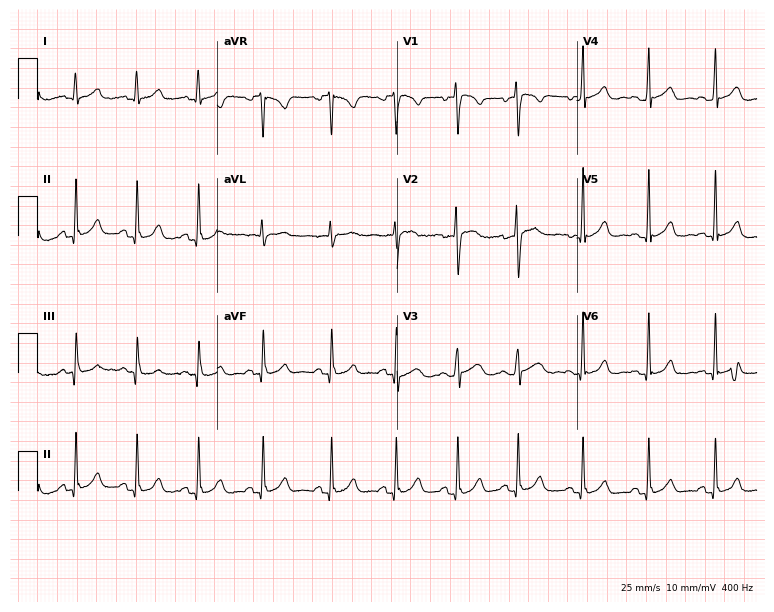
Standard 12-lead ECG recorded from a 28-year-old female patient. Read as a normal ECG.